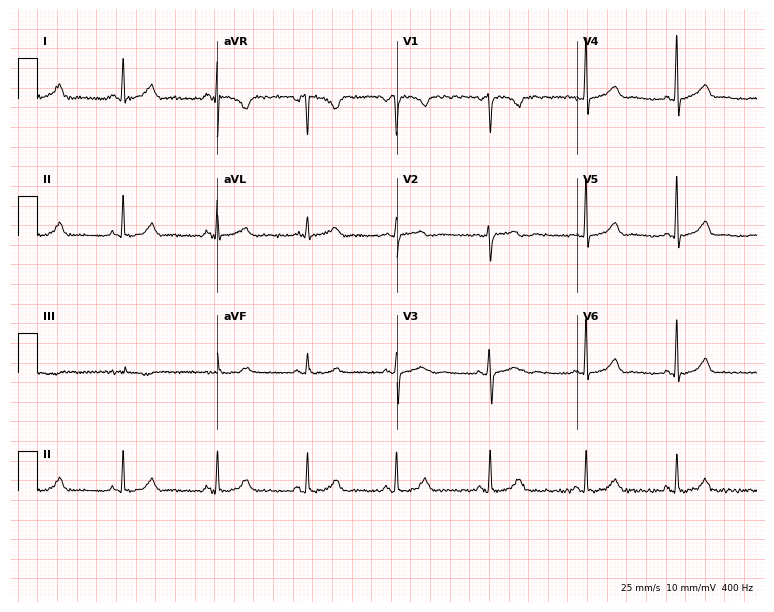
ECG (7.3-second recording at 400 Hz) — a 45-year-old female. Labelled as a normal ECG.